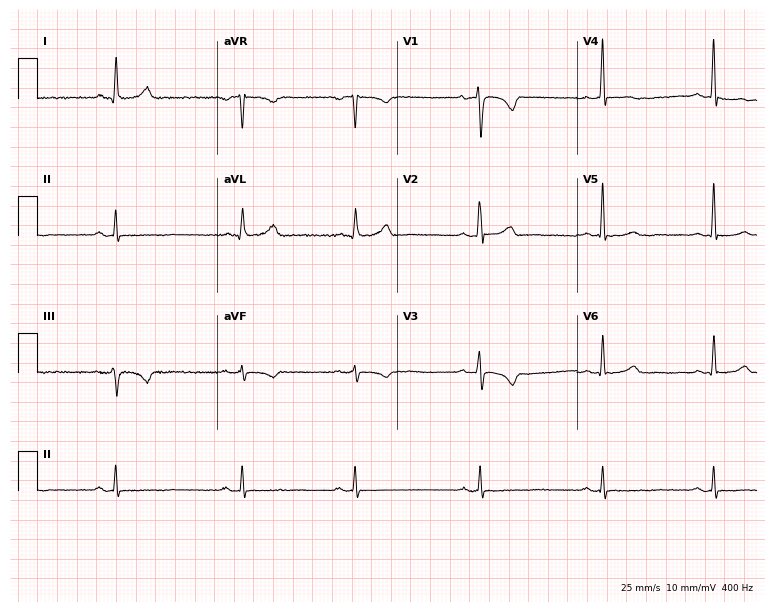
Standard 12-lead ECG recorded from a woman, 59 years old. None of these six findings is recorded: first-degree AV block, right bundle branch block (RBBB), left bundle branch block (LBBB), sinus bradycardia, atrial fibrillation (AF), sinus tachycardia.